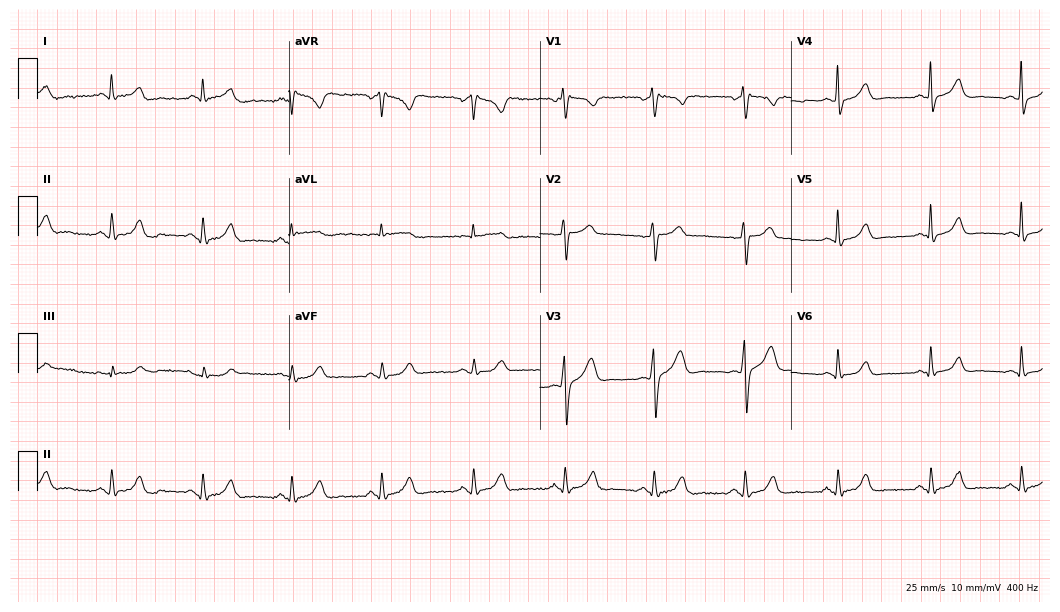
12-lead ECG from a male patient, 38 years old. Recorded interpretation: within normal limits.